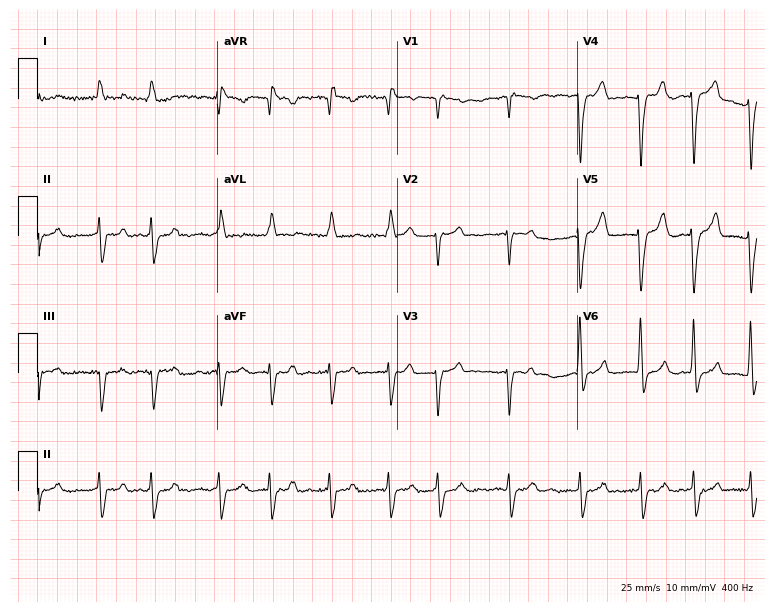
ECG — a woman, 66 years old. Findings include atrial fibrillation.